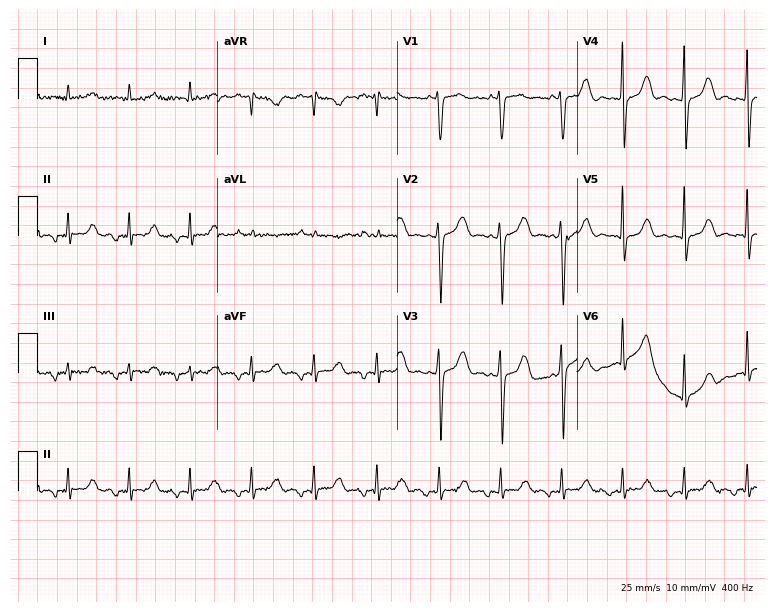
Resting 12-lead electrocardiogram. Patient: a 49-year-old male. Read as a normal ECG.